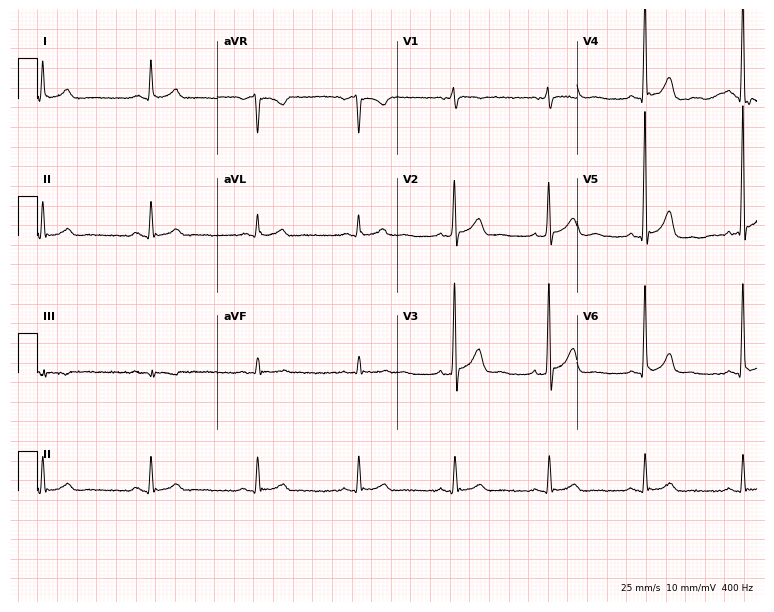
12-lead ECG from a 55-year-old male patient. Recorded interpretation: within normal limits.